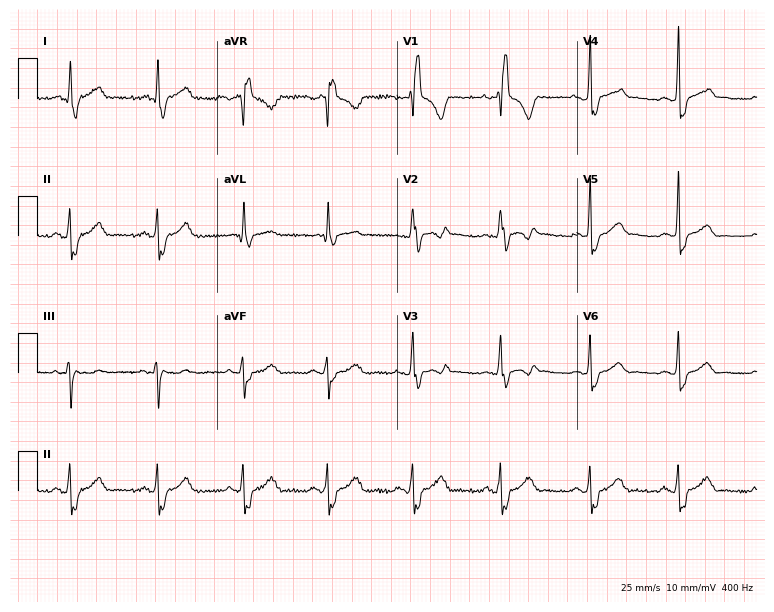
Electrocardiogram (7.3-second recording at 400 Hz), a male patient, 39 years old. Interpretation includes right bundle branch block (RBBB).